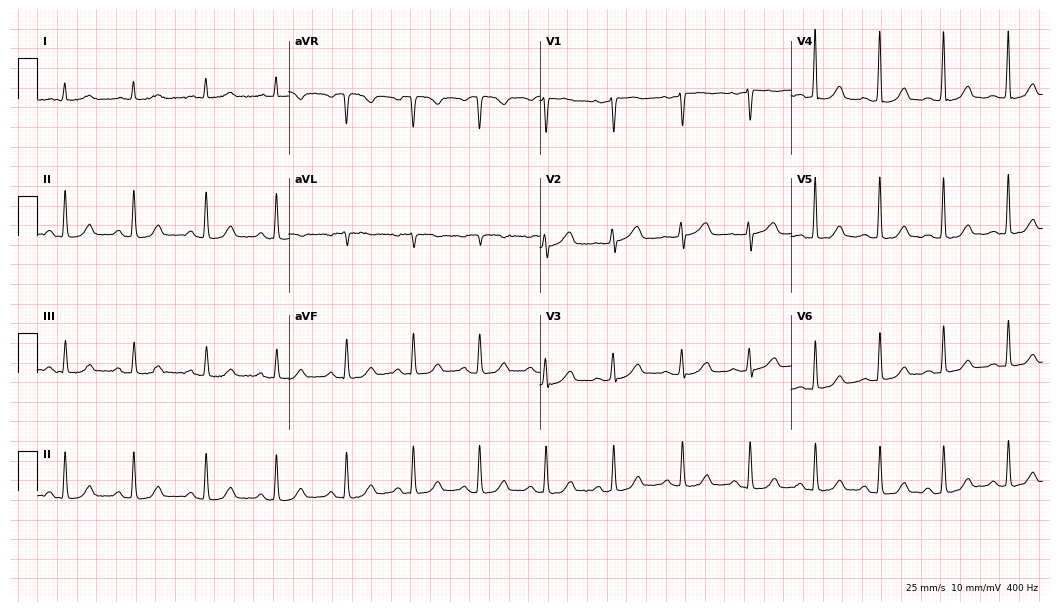
Electrocardiogram (10.2-second recording at 400 Hz), a woman, 67 years old. Overall reading on record: normal ECG.